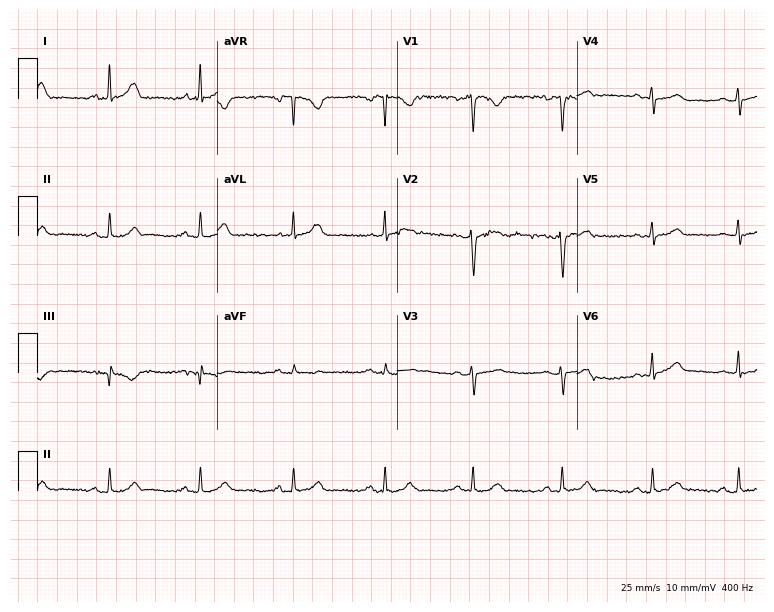
Electrocardiogram, a 30-year-old woman. Overall reading on record: normal ECG.